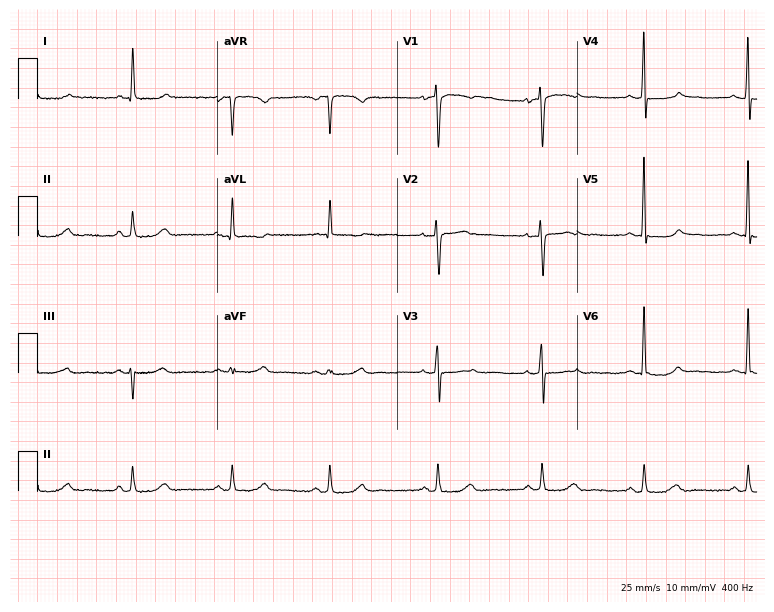
12-lead ECG from a 55-year-old female. No first-degree AV block, right bundle branch block, left bundle branch block, sinus bradycardia, atrial fibrillation or sinus tachycardia recorded for this tracing. Findings outside these six are not listed.